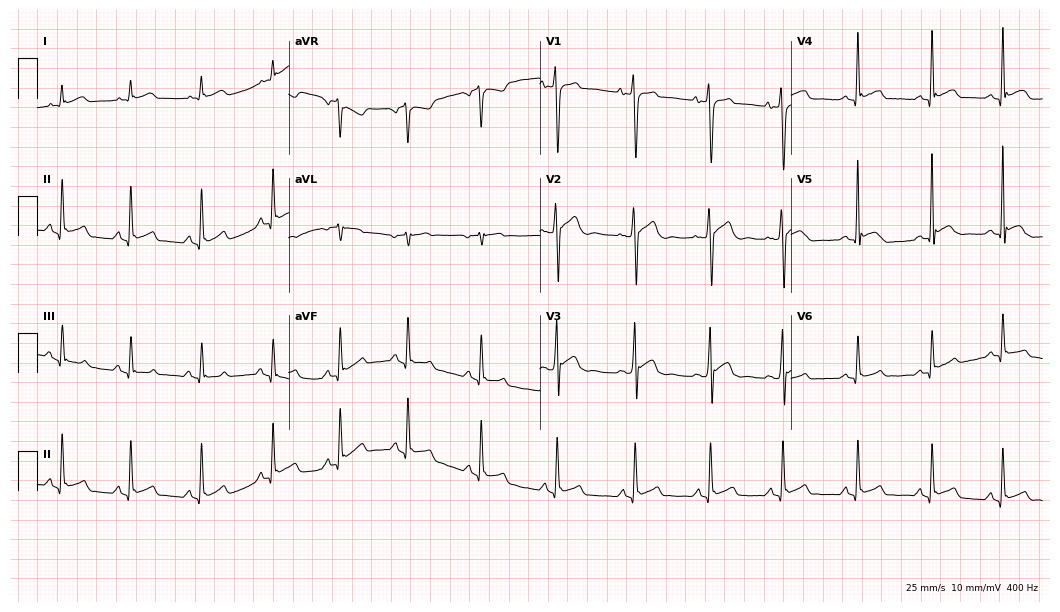
Electrocardiogram, an 18-year-old male patient. Of the six screened findings (first-degree AV block, right bundle branch block (RBBB), left bundle branch block (LBBB), sinus bradycardia, atrial fibrillation (AF), sinus tachycardia), none is recorded. Only these six findings were labelled.